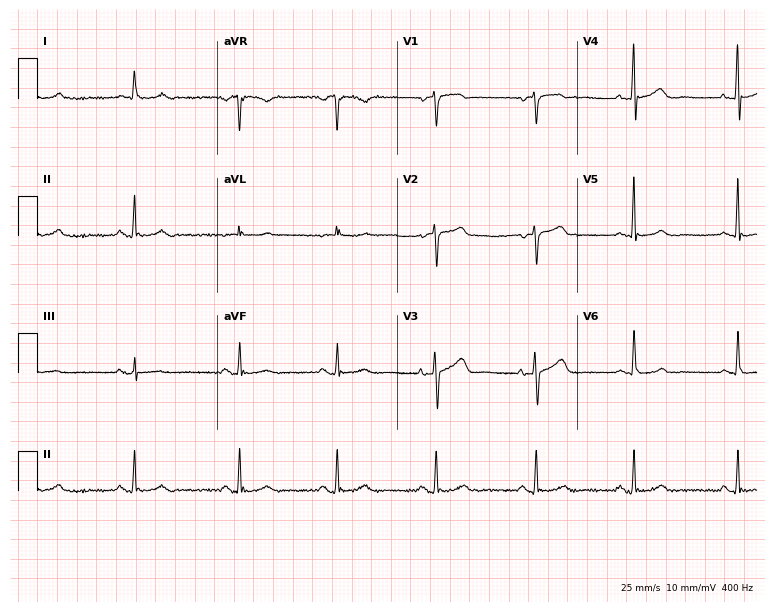
12-lead ECG (7.3-second recording at 400 Hz) from a 54-year-old woman. Screened for six findings — first-degree AV block, right bundle branch block, left bundle branch block, sinus bradycardia, atrial fibrillation, sinus tachycardia — none is recorded. Other findings, if any, are not listed.